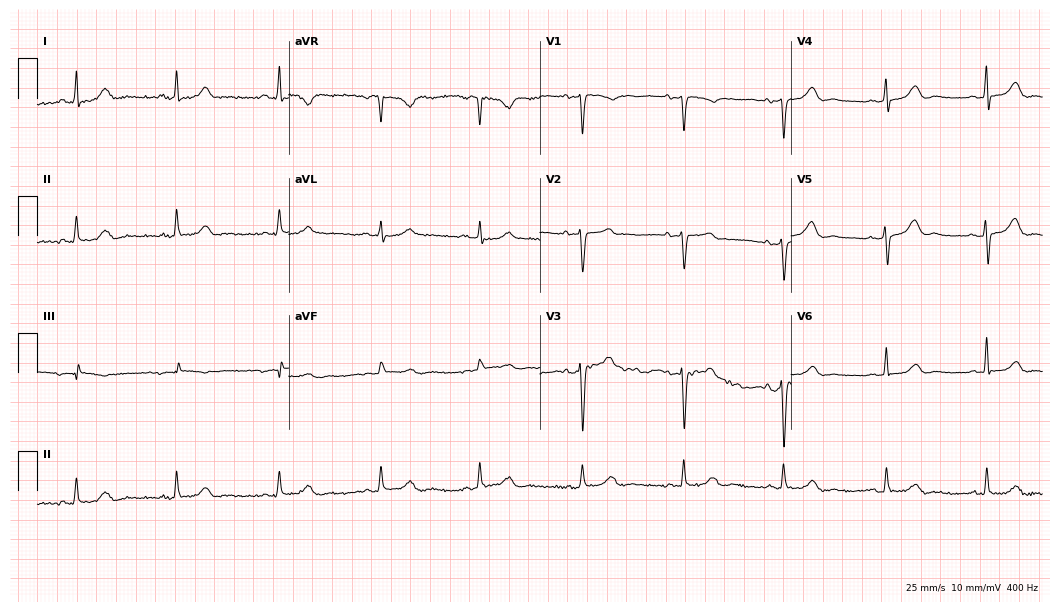
ECG (10.2-second recording at 400 Hz) — a 57-year-old female patient. Labelled as a normal ECG.